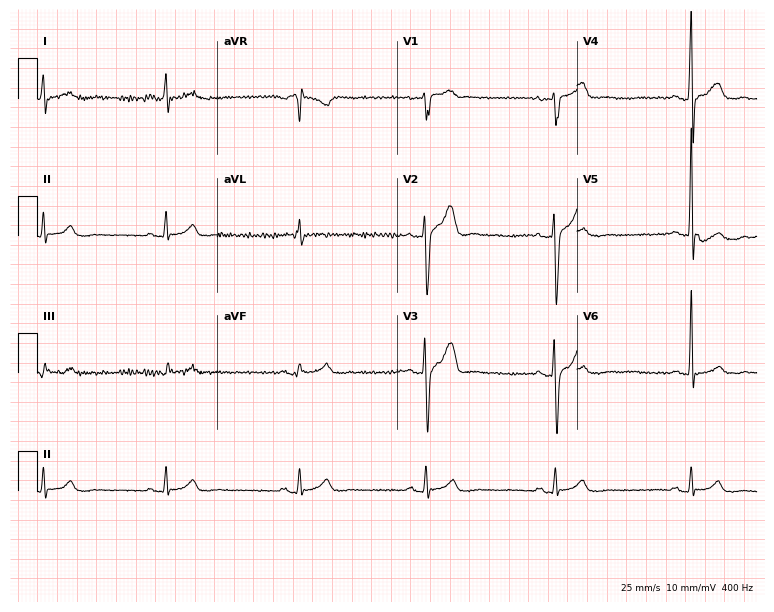
Standard 12-lead ECG recorded from a man, 48 years old. The tracing shows sinus bradycardia (a sinus rate of 50 beats per minute or less).